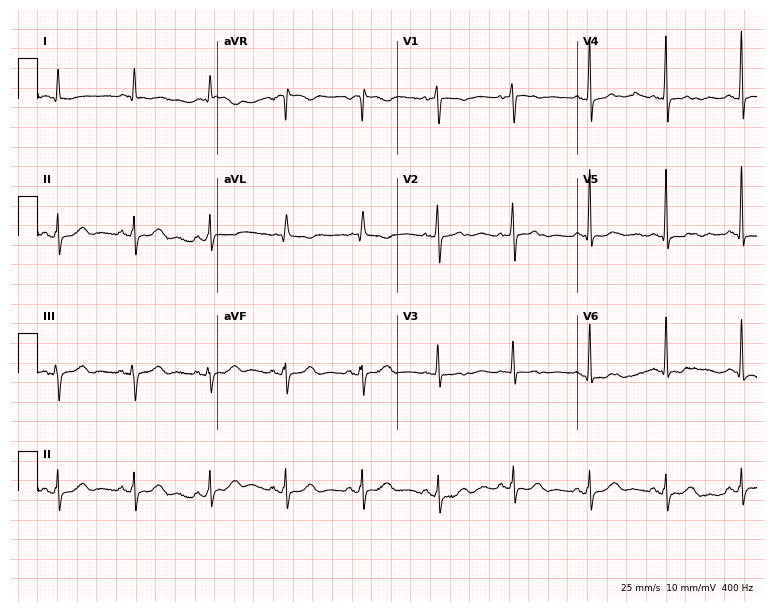
Standard 12-lead ECG recorded from a woman, 78 years old (7.3-second recording at 400 Hz). None of these six findings is recorded: first-degree AV block, right bundle branch block, left bundle branch block, sinus bradycardia, atrial fibrillation, sinus tachycardia.